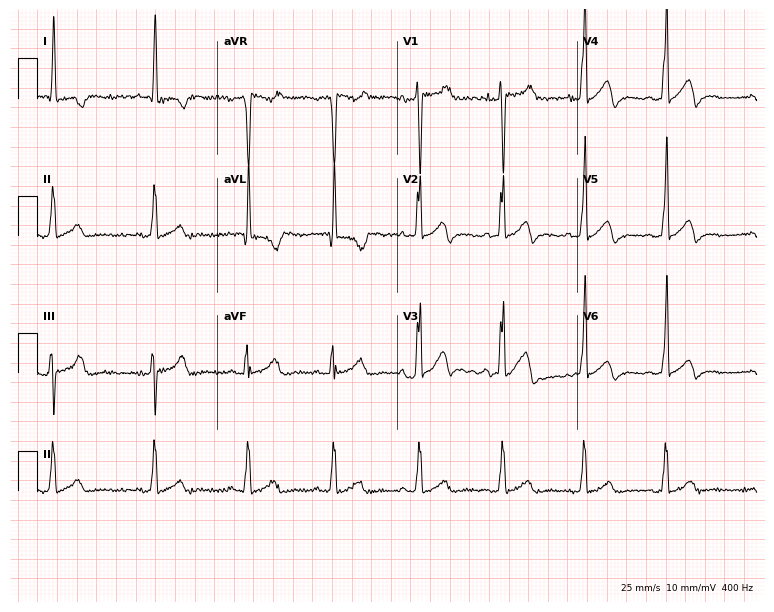
Electrocardiogram (7.3-second recording at 400 Hz), a female, 68 years old. Of the six screened findings (first-degree AV block, right bundle branch block (RBBB), left bundle branch block (LBBB), sinus bradycardia, atrial fibrillation (AF), sinus tachycardia), none is recorded. Other findings, if any, are not listed.